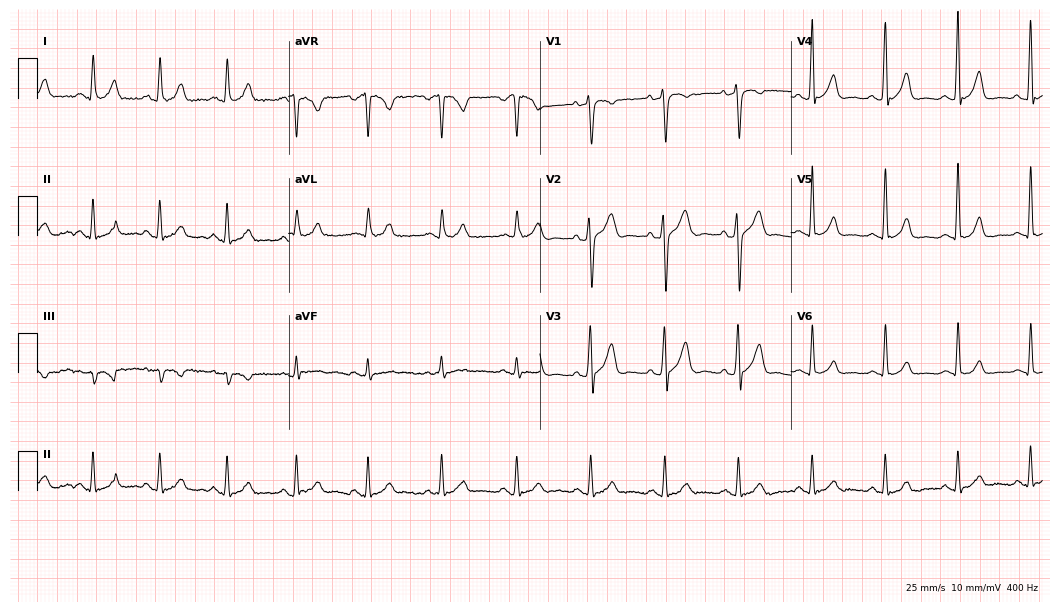
Resting 12-lead electrocardiogram (10.2-second recording at 400 Hz). Patient: a man, 43 years old. Read as a normal ECG.